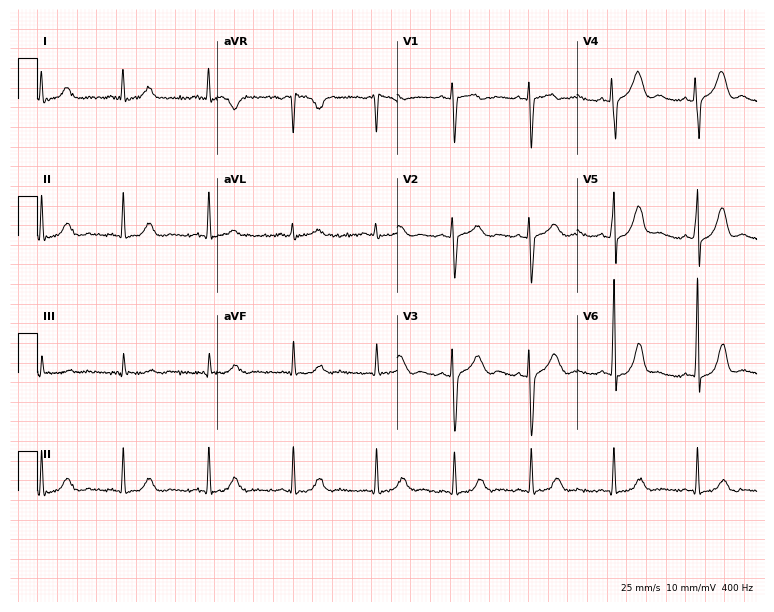
12-lead ECG from a female, 34 years old. Recorded interpretation: within normal limits.